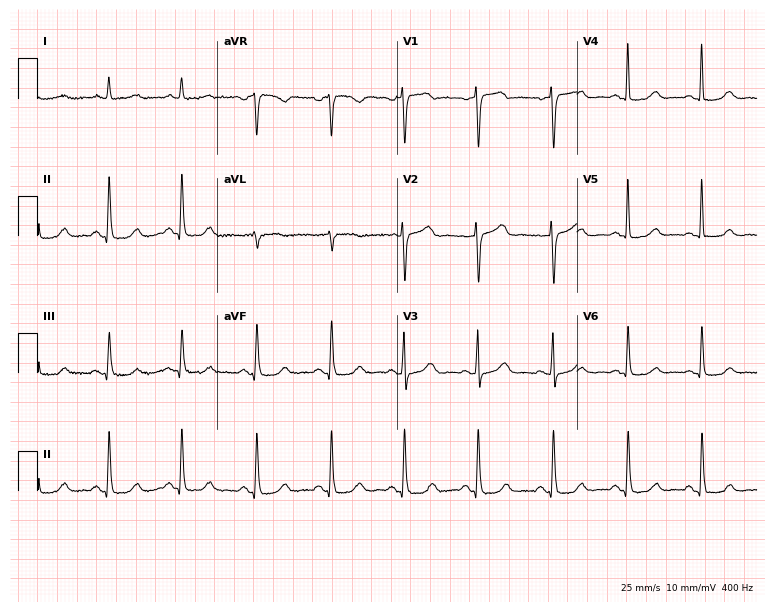
12-lead ECG from a woman, 68 years old. No first-degree AV block, right bundle branch block, left bundle branch block, sinus bradycardia, atrial fibrillation or sinus tachycardia recorded for this tracing. Findings outside these six are not listed.